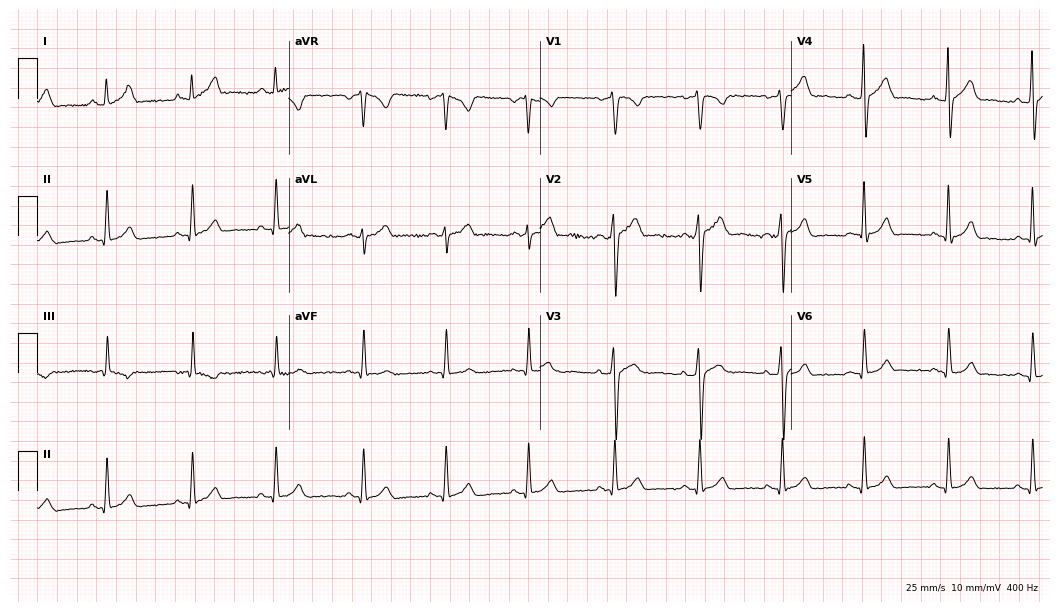
12-lead ECG from a 21-year-old man. Labelled as a normal ECG.